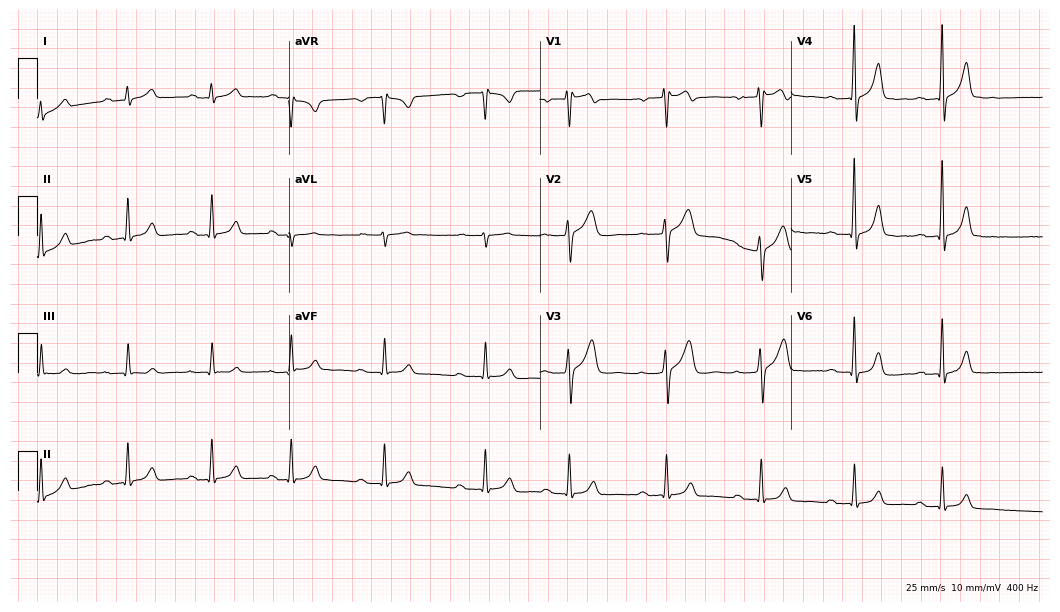
Standard 12-lead ECG recorded from a male patient, 24 years old (10.2-second recording at 400 Hz). The tracing shows first-degree AV block.